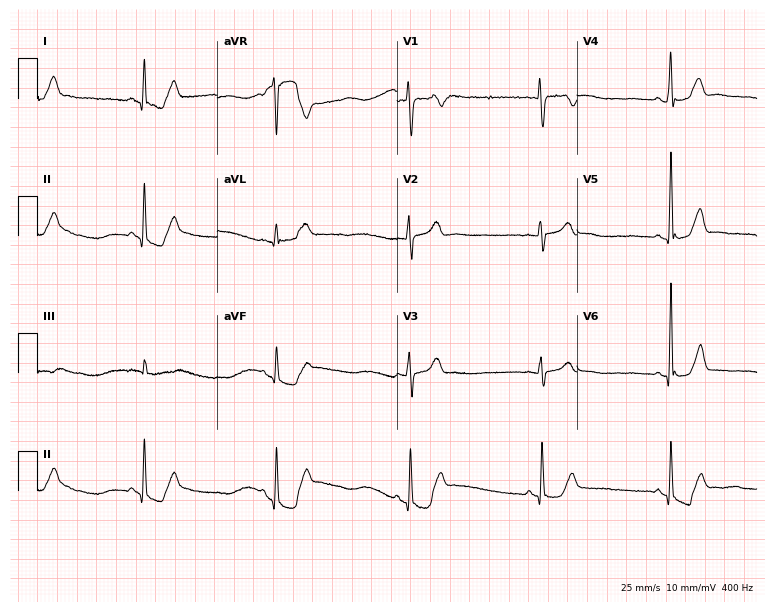
Standard 12-lead ECG recorded from a man, 34 years old (7.3-second recording at 400 Hz). None of these six findings is recorded: first-degree AV block, right bundle branch block, left bundle branch block, sinus bradycardia, atrial fibrillation, sinus tachycardia.